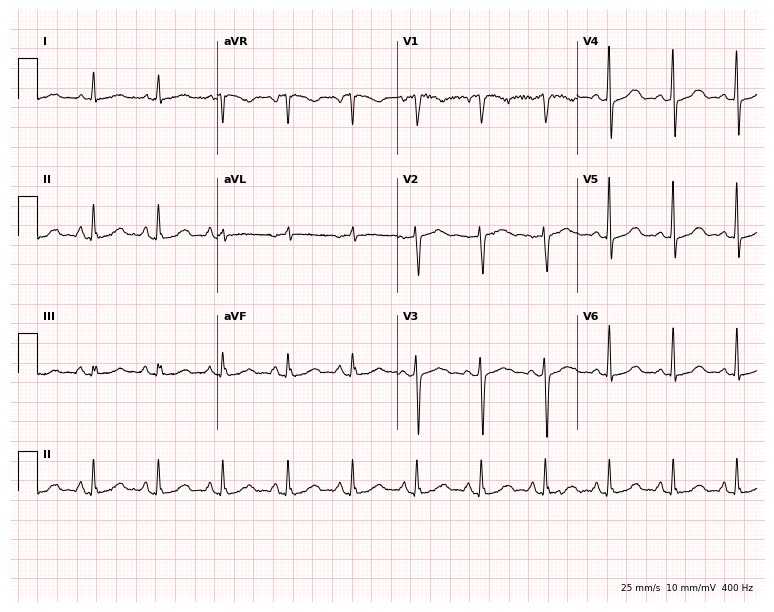
12-lead ECG from a 54-year-old female patient. Recorded interpretation: within normal limits.